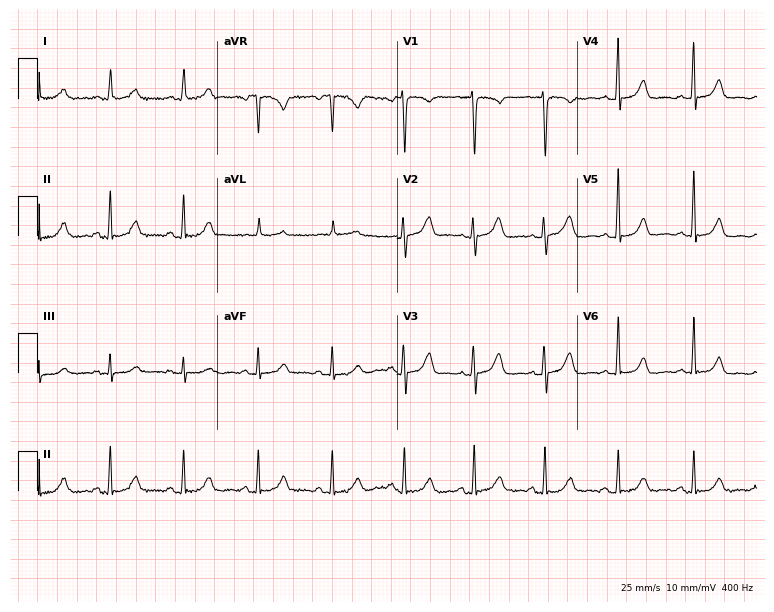
Resting 12-lead electrocardiogram (7.3-second recording at 400 Hz). Patient: a woman, 33 years old. Read as a normal ECG.